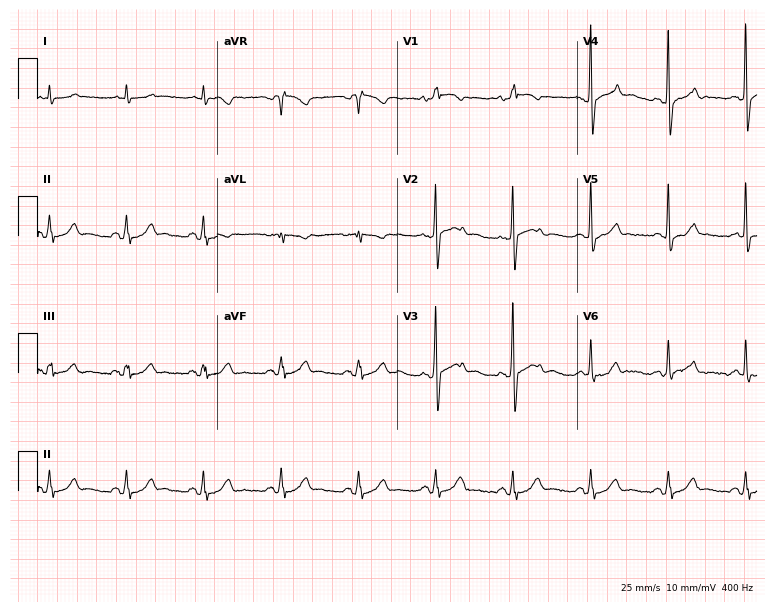
12-lead ECG from a male, 83 years old (7.3-second recording at 400 Hz). Recorded interpretation: within normal limits.